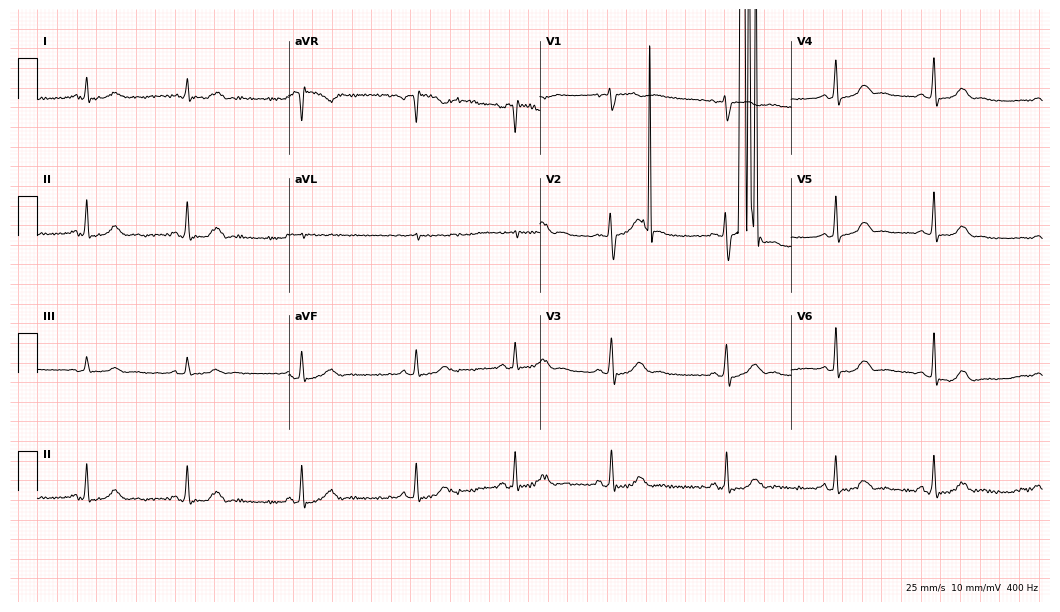
Electrocardiogram, a woman, 18 years old. Overall reading on record: normal ECG.